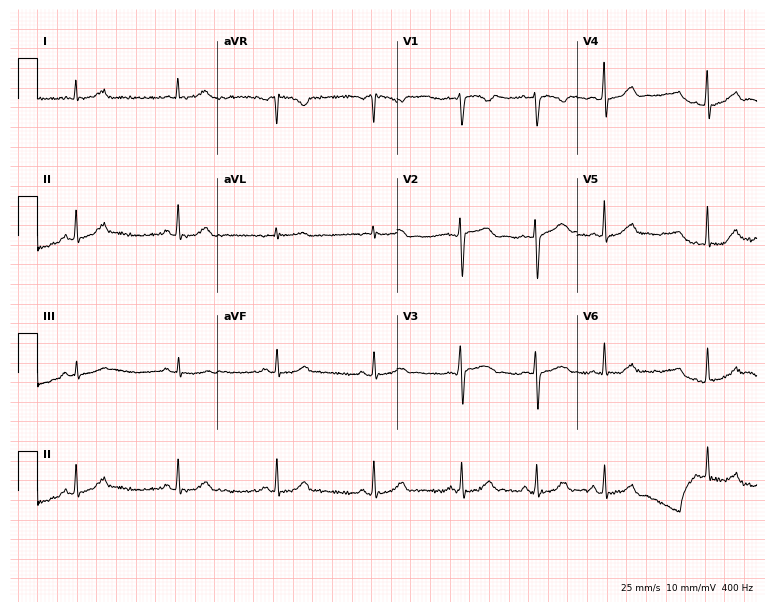
ECG — a 21-year-old female patient. Screened for six findings — first-degree AV block, right bundle branch block, left bundle branch block, sinus bradycardia, atrial fibrillation, sinus tachycardia — none is recorded. Other findings, if any, are not listed.